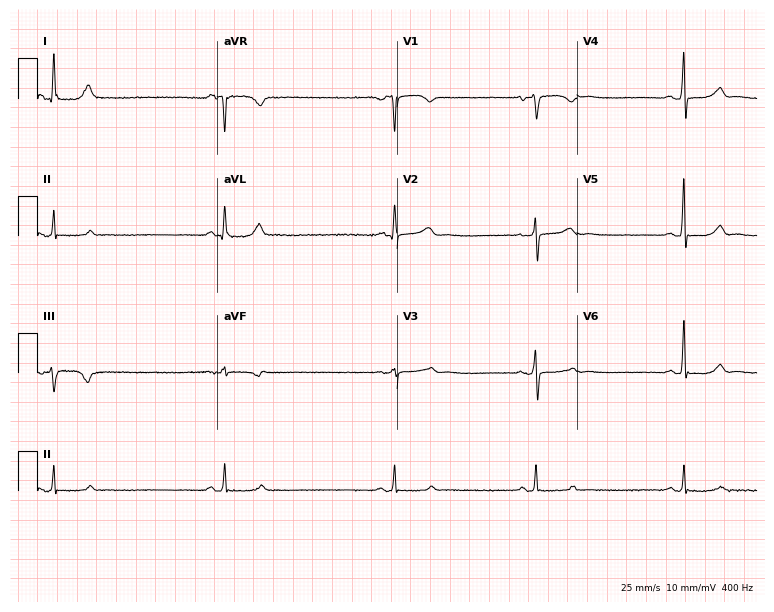
Electrocardiogram, a female, 56 years old. Interpretation includes sinus bradycardia (a sinus rate of 50 beats per minute or less).